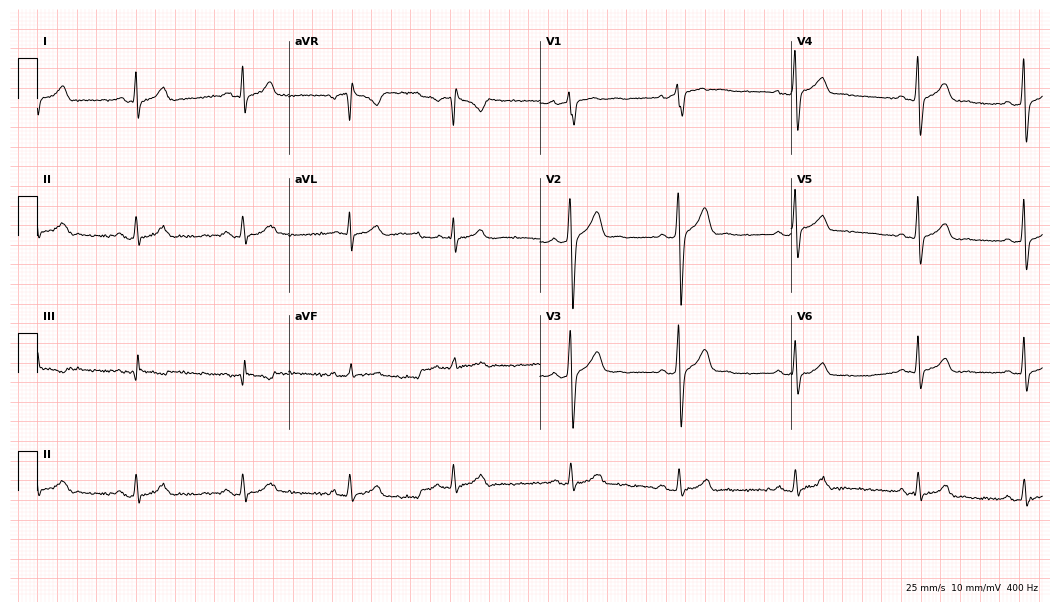
Standard 12-lead ECG recorded from a man, 34 years old (10.2-second recording at 400 Hz). Read as a normal ECG.